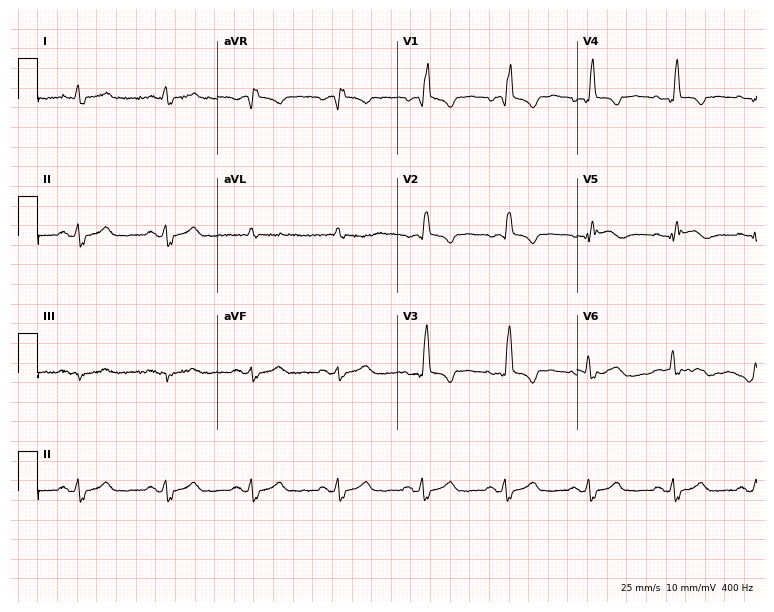
12-lead ECG (7.3-second recording at 400 Hz) from an 83-year-old woman. Screened for six findings — first-degree AV block, right bundle branch block, left bundle branch block, sinus bradycardia, atrial fibrillation, sinus tachycardia — none is recorded.